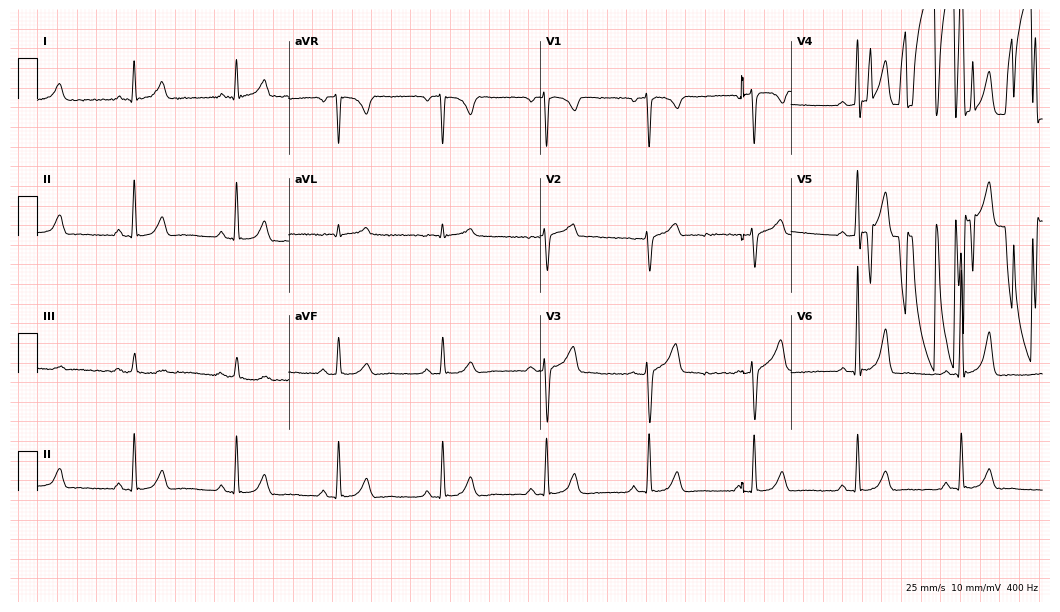
12-lead ECG from a 53-year-old male. Recorded interpretation: within normal limits.